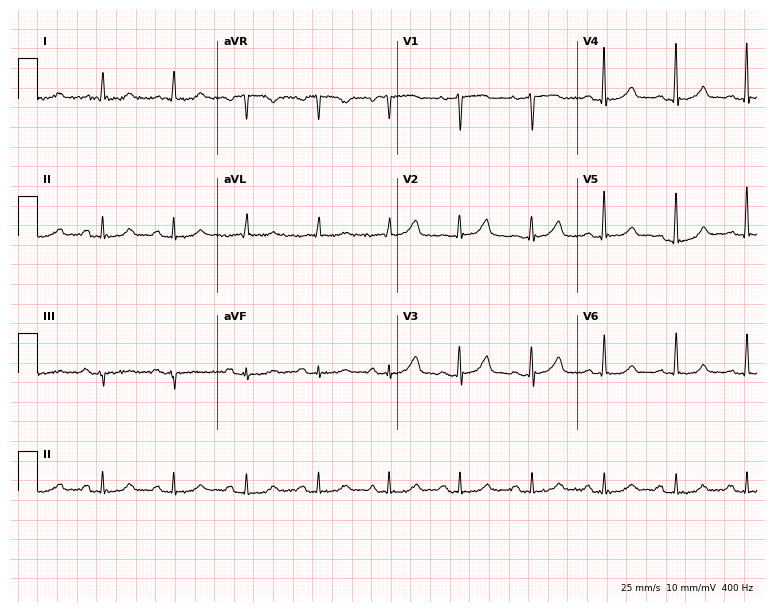
12-lead ECG from a female patient, 62 years old (7.3-second recording at 400 Hz). No first-degree AV block, right bundle branch block, left bundle branch block, sinus bradycardia, atrial fibrillation or sinus tachycardia recorded for this tracing. Findings outside these six are not listed.